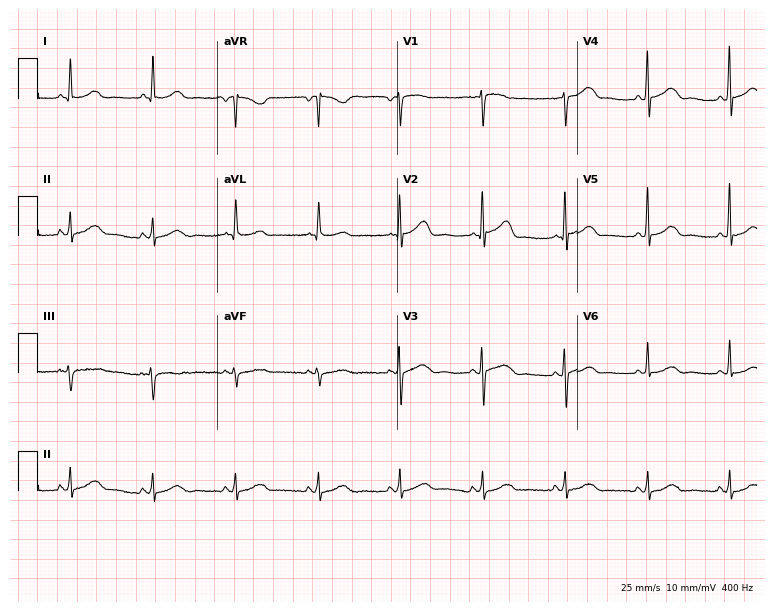
ECG — an 85-year-old female patient. Labelled as a normal ECG.